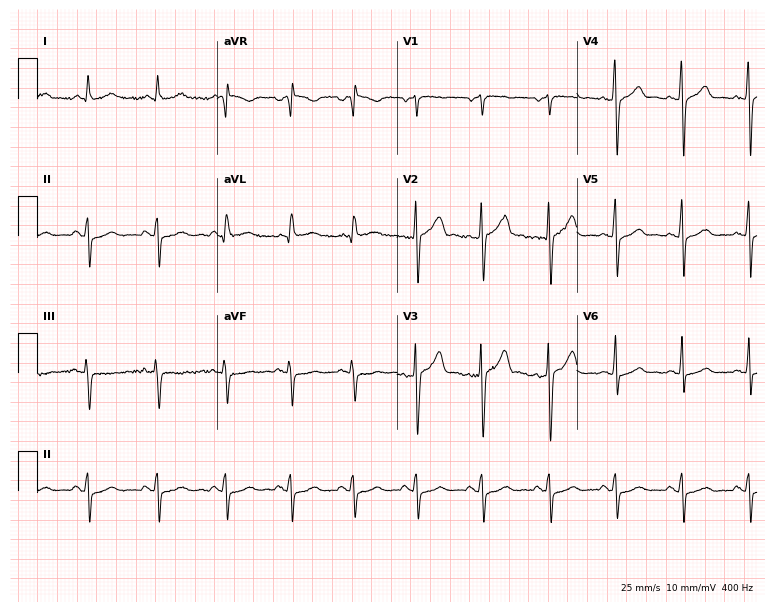
ECG — a 50-year-old man. Screened for six findings — first-degree AV block, right bundle branch block, left bundle branch block, sinus bradycardia, atrial fibrillation, sinus tachycardia — none is recorded. Only these six findings were labelled.